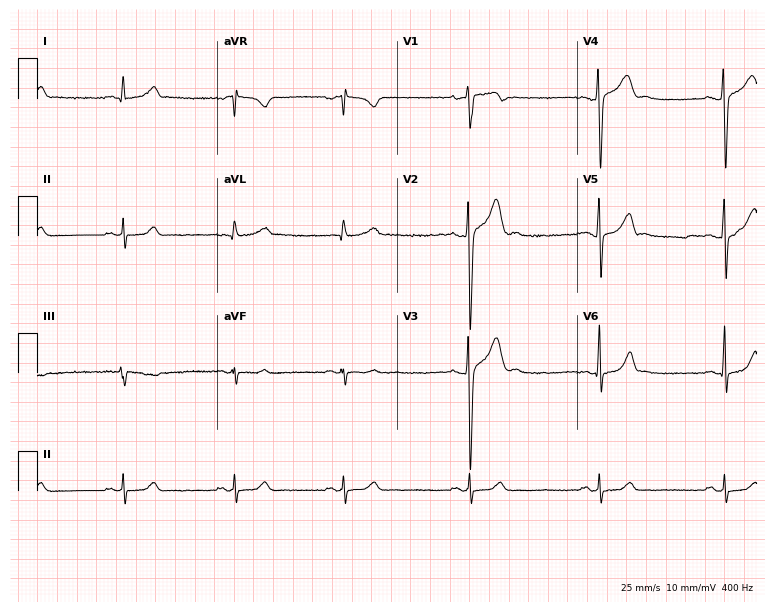
12-lead ECG from a 28-year-old male (7.3-second recording at 400 Hz). Recorded interpretation: within normal limits.